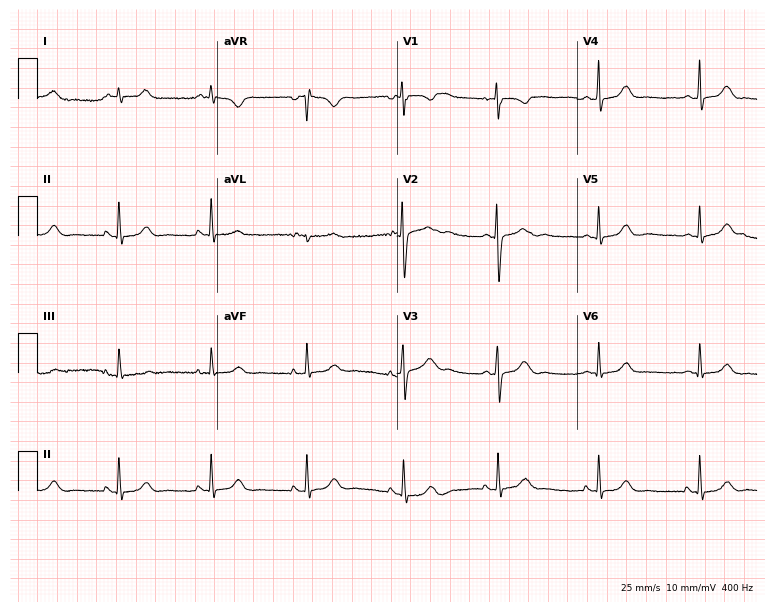
Resting 12-lead electrocardiogram. Patient: a woman, 20 years old. None of these six findings is recorded: first-degree AV block, right bundle branch block, left bundle branch block, sinus bradycardia, atrial fibrillation, sinus tachycardia. Findings outside these six are not listed.